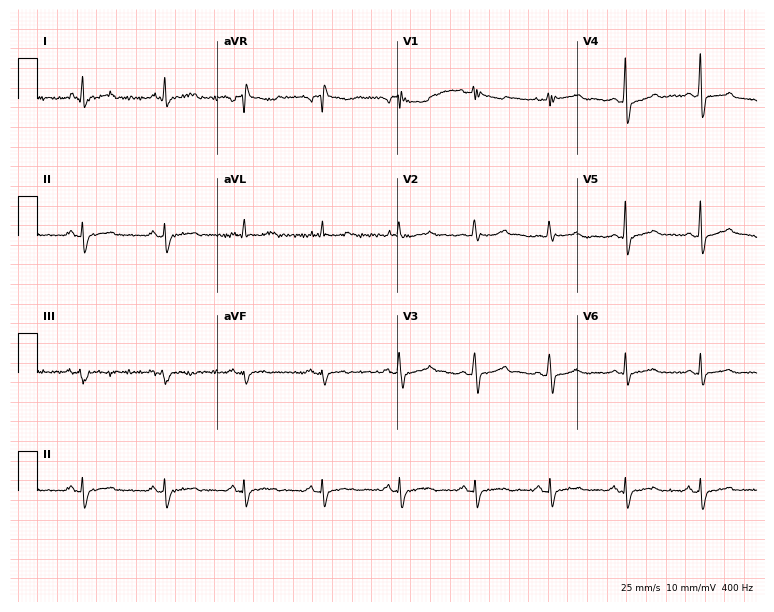
Standard 12-lead ECG recorded from a 56-year-old male patient. None of these six findings is recorded: first-degree AV block, right bundle branch block (RBBB), left bundle branch block (LBBB), sinus bradycardia, atrial fibrillation (AF), sinus tachycardia. Findings outside these six are not listed.